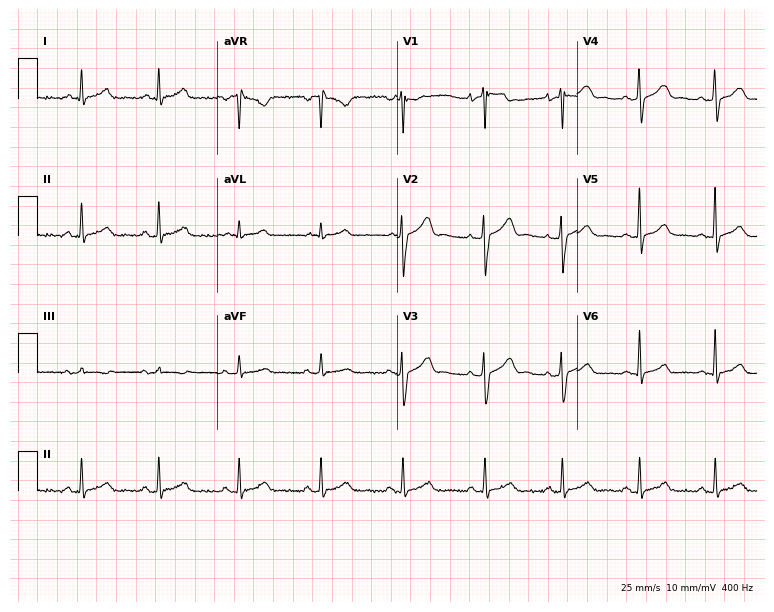
12-lead ECG from a female patient, 36 years old. Labelled as a normal ECG.